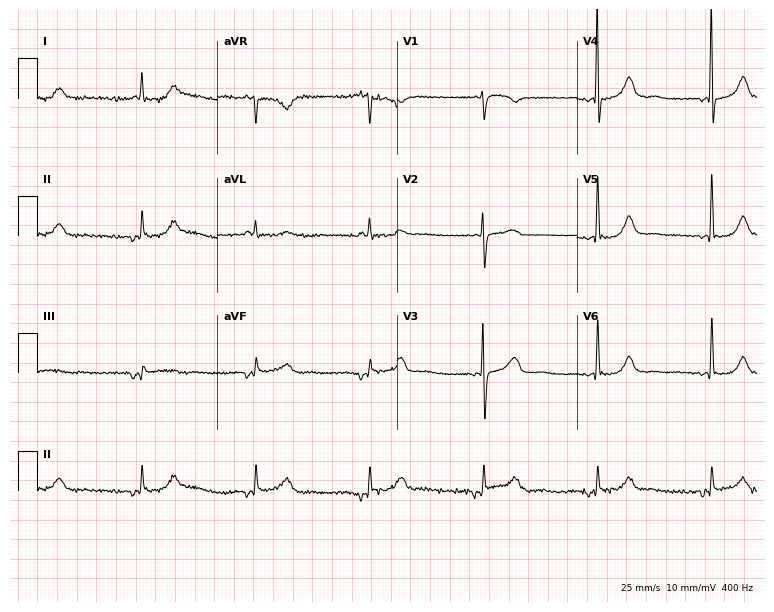
12-lead ECG from a 78-year-old female patient. Screened for six findings — first-degree AV block, right bundle branch block (RBBB), left bundle branch block (LBBB), sinus bradycardia, atrial fibrillation (AF), sinus tachycardia — none is recorded. Only these six findings were labelled.